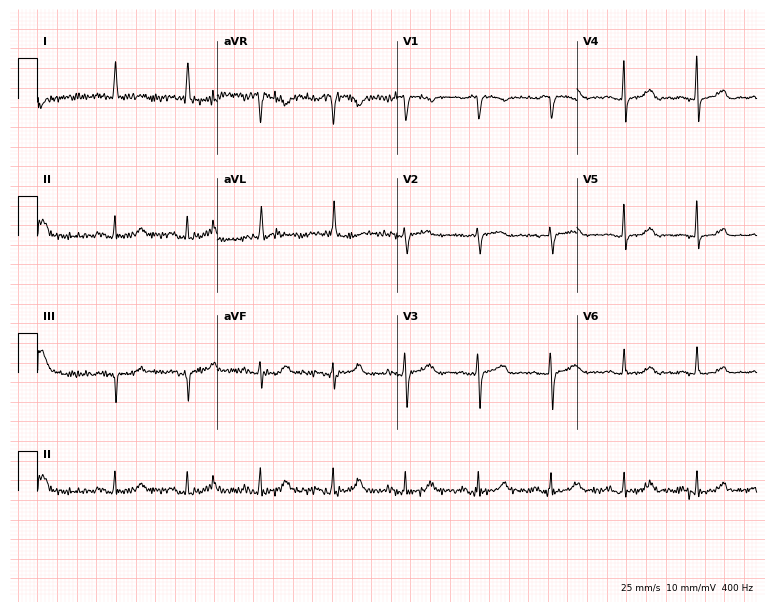
Standard 12-lead ECG recorded from a 71-year-old female (7.3-second recording at 400 Hz). Read as a normal ECG.